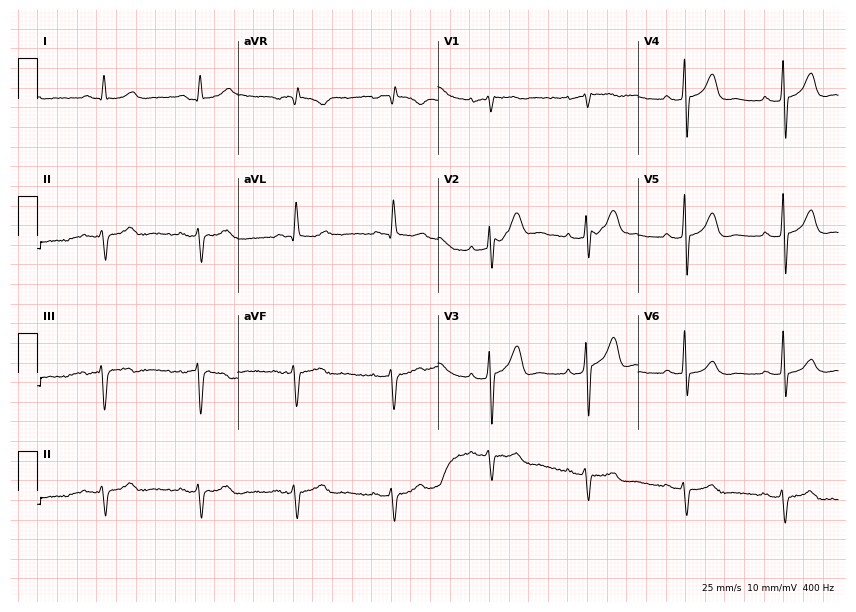
Electrocardiogram (8.2-second recording at 400 Hz), a 76-year-old man. Of the six screened findings (first-degree AV block, right bundle branch block, left bundle branch block, sinus bradycardia, atrial fibrillation, sinus tachycardia), none is recorded.